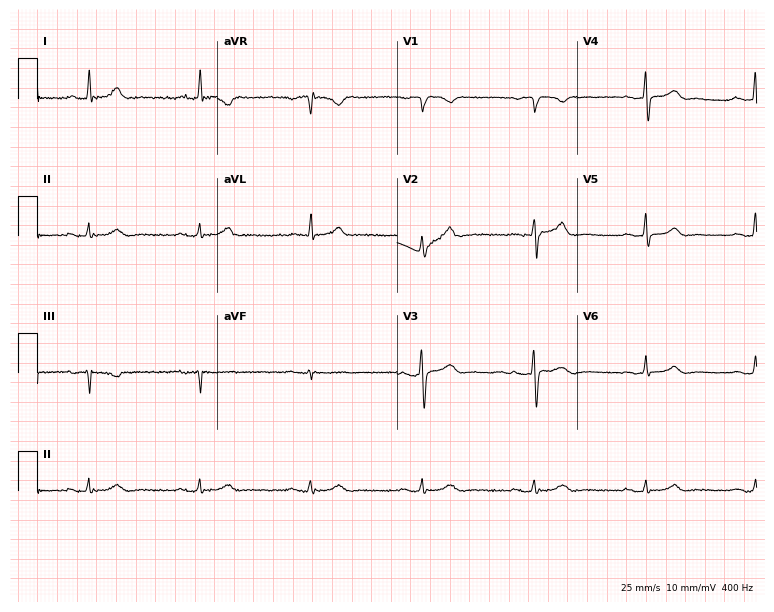
Electrocardiogram, a 65-year-old male. Overall reading on record: normal ECG.